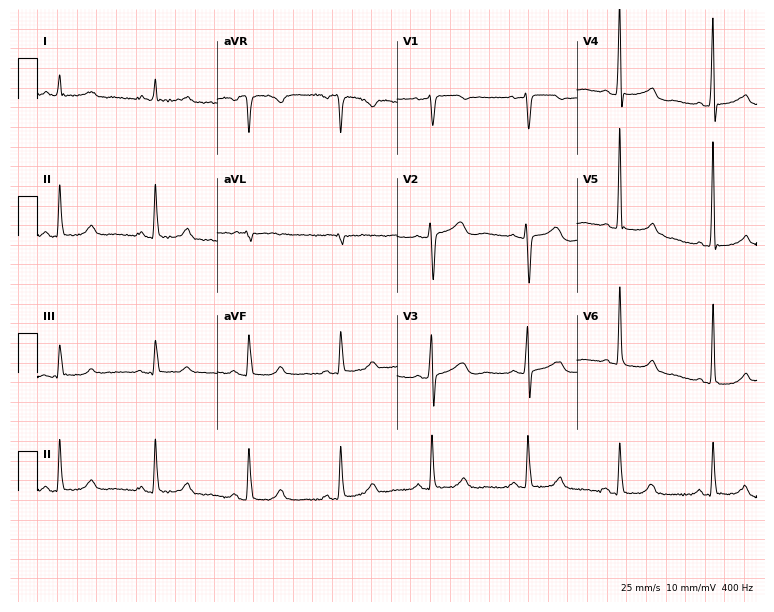
12-lead ECG from a 71-year-old female (7.3-second recording at 400 Hz). No first-degree AV block, right bundle branch block, left bundle branch block, sinus bradycardia, atrial fibrillation or sinus tachycardia recorded for this tracing.